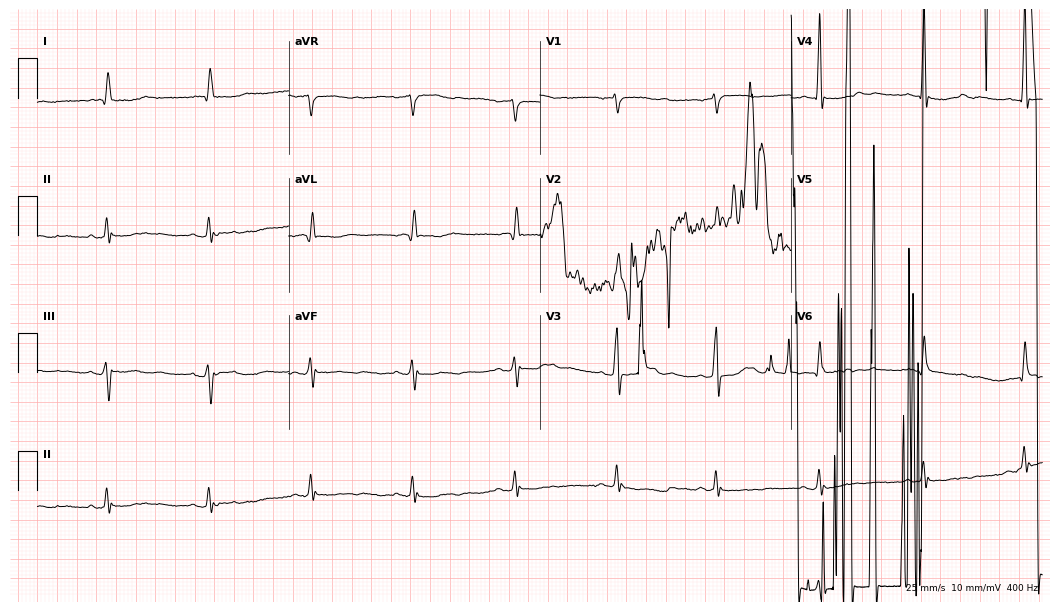
Standard 12-lead ECG recorded from an 82-year-old female patient (10.2-second recording at 400 Hz). None of these six findings is recorded: first-degree AV block, right bundle branch block (RBBB), left bundle branch block (LBBB), sinus bradycardia, atrial fibrillation (AF), sinus tachycardia.